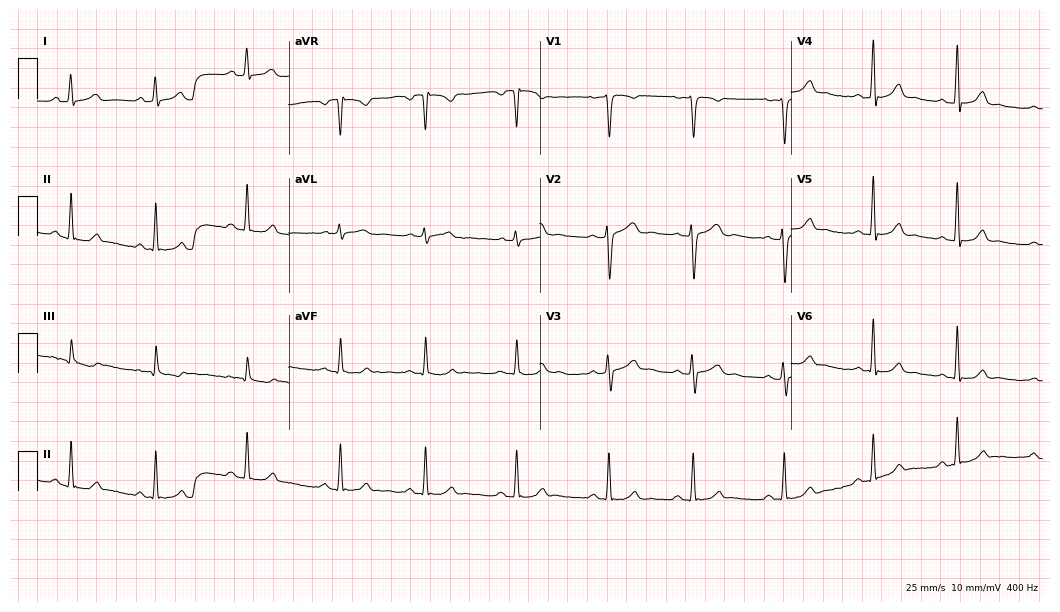
Standard 12-lead ECG recorded from a female, 26 years old (10.2-second recording at 400 Hz). Read as a normal ECG.